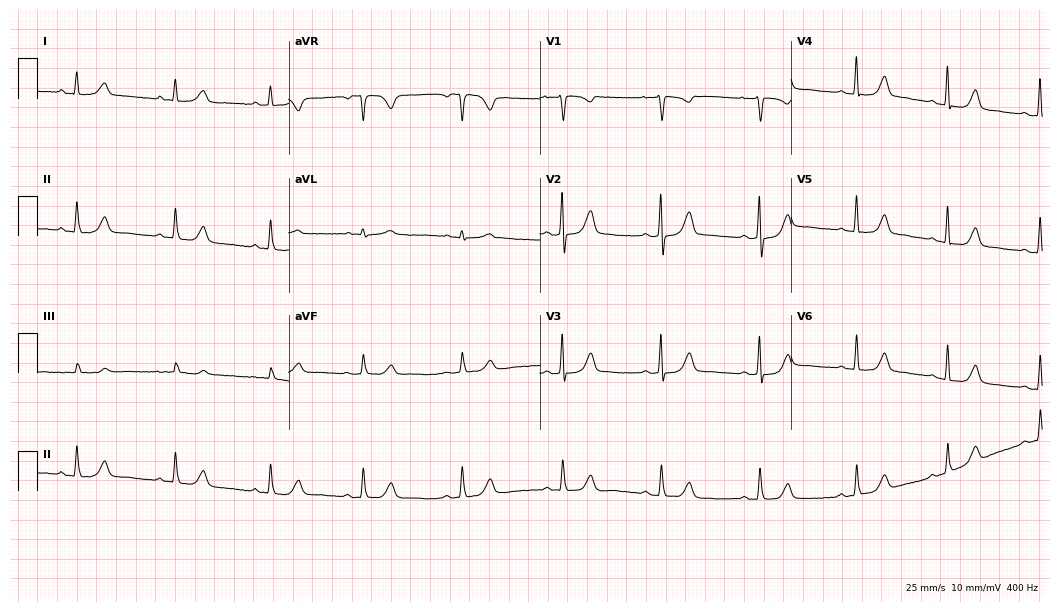
Resting 12-lead electrocardiogram. Patient: a 41-year-old female. Read as a normal ECG.